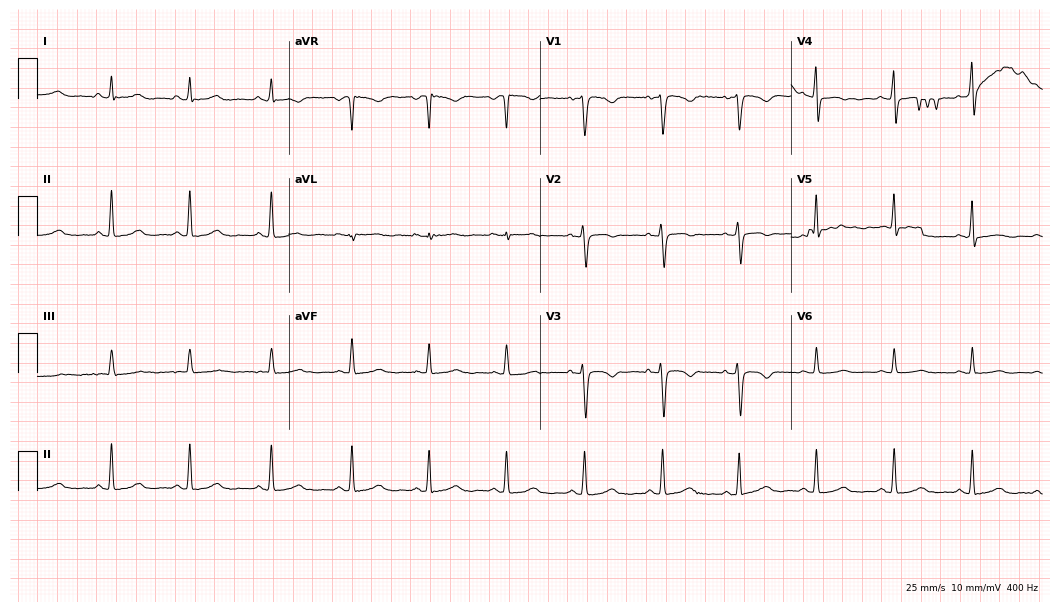
Resting 12-lead electrocardiogram. Patient: a woman, 56 years old. None of these six findings is recorded: first-degree AV block, right bundle branch block, left bundle branch block, sinus bradycardia, atrial fibrillation, sinus tachycardia.